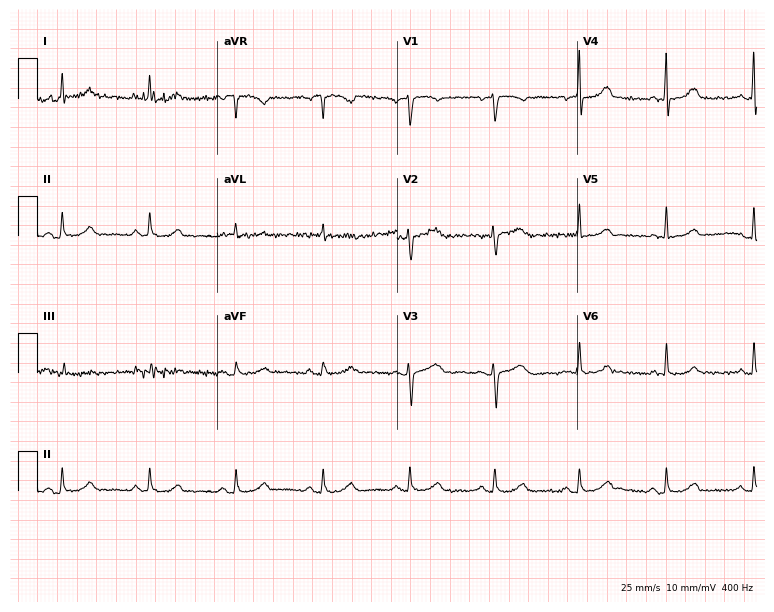
Standard 12-lead ECG recorded from a 41-year-old female (7.3-second recording at 400 Hz). None of these six findings is recorded: first-degree AV block, right bundle branch block, left bundle branch block, sinus bradycardia, atrial fibrillation, sinus tachycardia. Only these six findings were labelled.